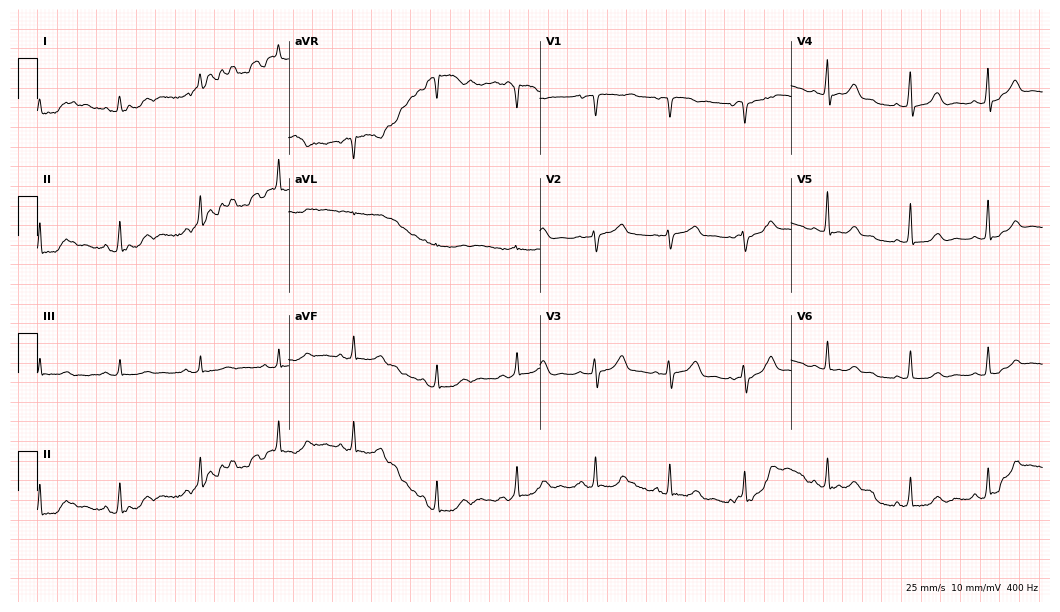
Resting 12-lead electrocardiogram (10.2-second recording at 400 Hz). Patient: a female, 57 years old. None of these six findings is recorded: first-degree AV block, right bundle branch block, left bundle branch block, sinus bradycardia, atrial fibrillation, sinus tachycardia.